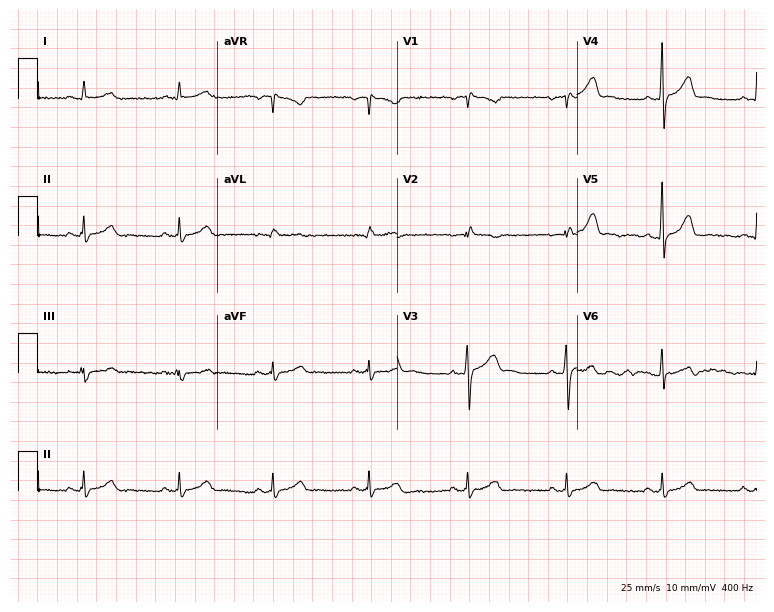
Resting 12-lead electrocardiogram (7.3-second recording at 400 Hz). Patient: a 49-year-old male. None of these six findings is recorded: first-degree AV block, right bundle branch block, left bundle branch block, sinus bradycardia, atrial fibrillation, sinus tachycardia.